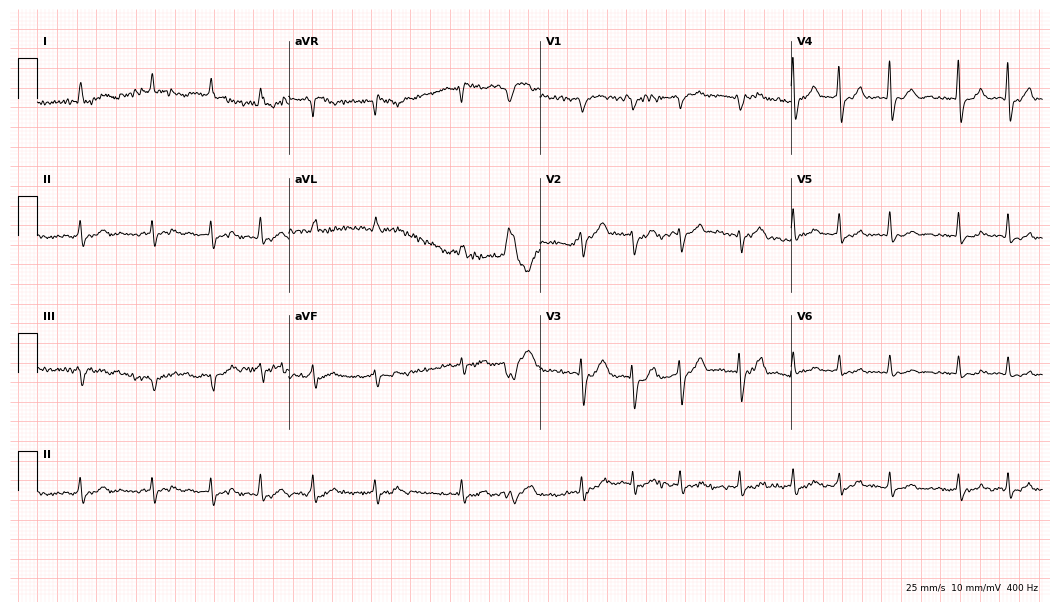
ECG — a female patient, 67 years old. Findings include atrial fibrillation.